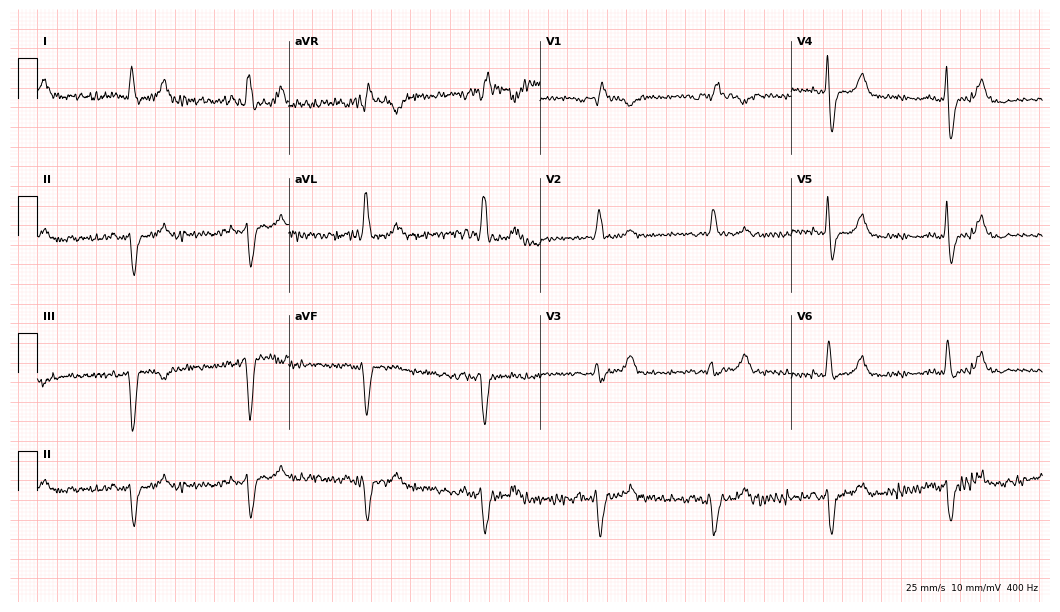
Standard 12-lead ECG recorded from an 81-year-old man (10.2-second recording at 400 Hz). None of these six findings is recorded: first-degree AV block, right bundle branch block (RBBB), left bundle branch block (LBBB), sinus bradycardia, atrial fibrillation (AF), sinus tachycardia.